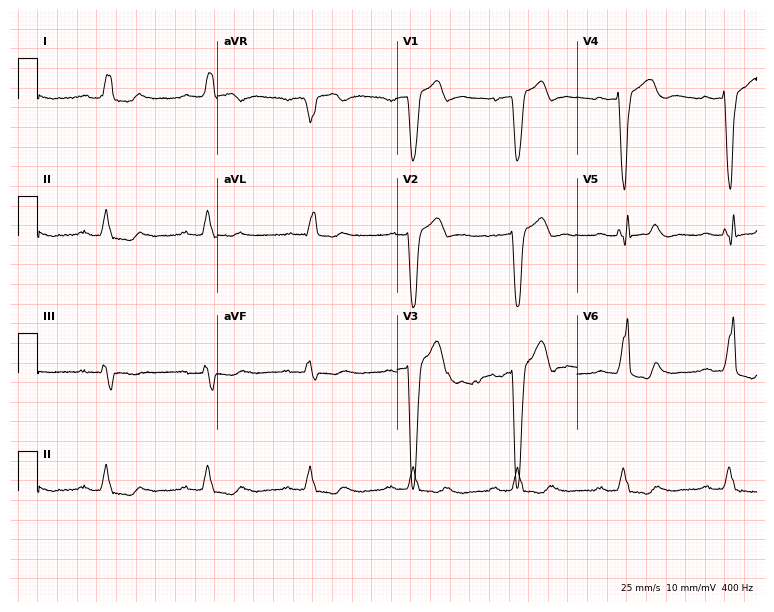
12-lead ECG (7.3-second recording at 400 Hz) from an 81-year-old male patient. Findings include left bundle branch block.